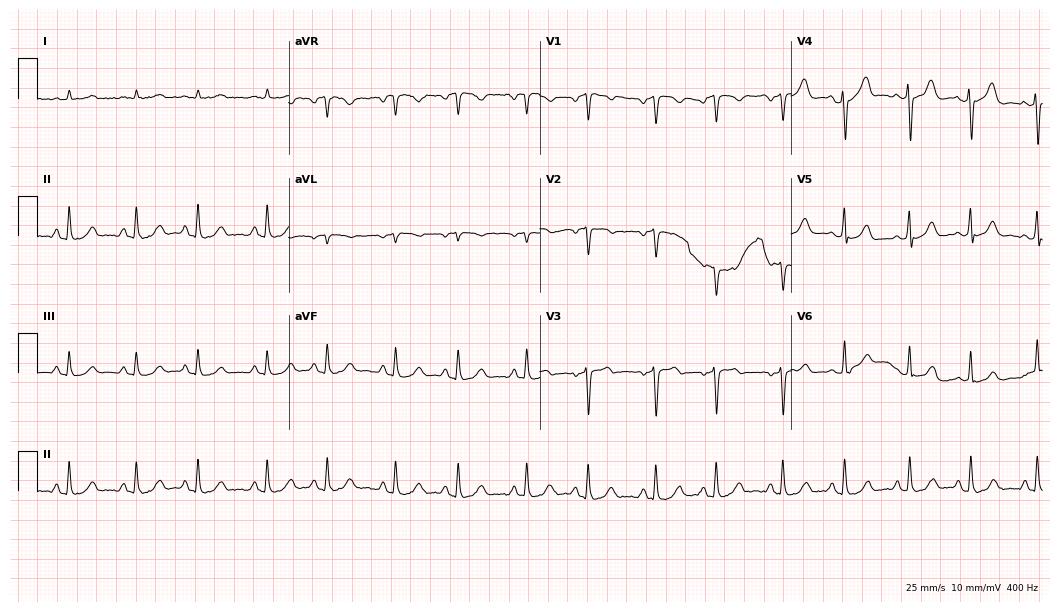
12-lead ECG from a 78-year-old male patient. Labelled as a normal ECG.